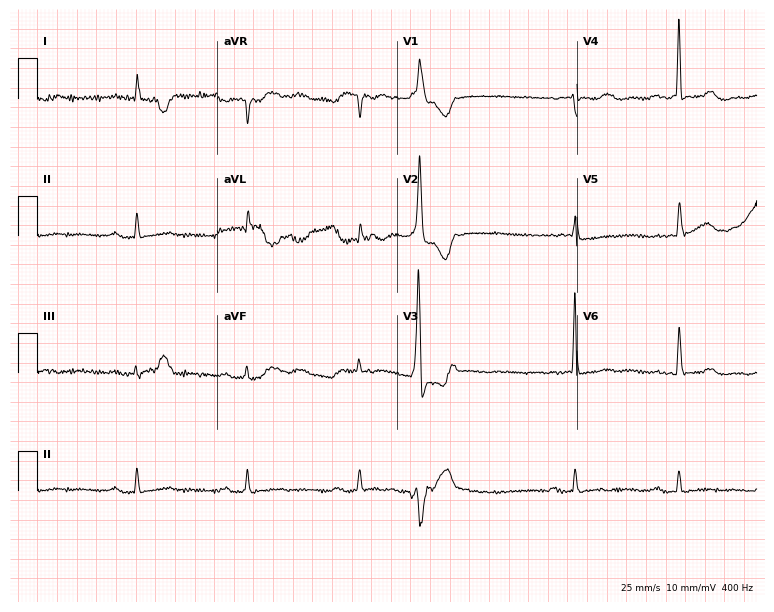
Resting 12-lead electrocardiogram. Patient: a man, 85 years old. None of these six findings is recorded: first-degree AV block, right bundle branch block, left bundle branch block, sinus bradycardia, atrial fibrillation, sinus tachycardia.